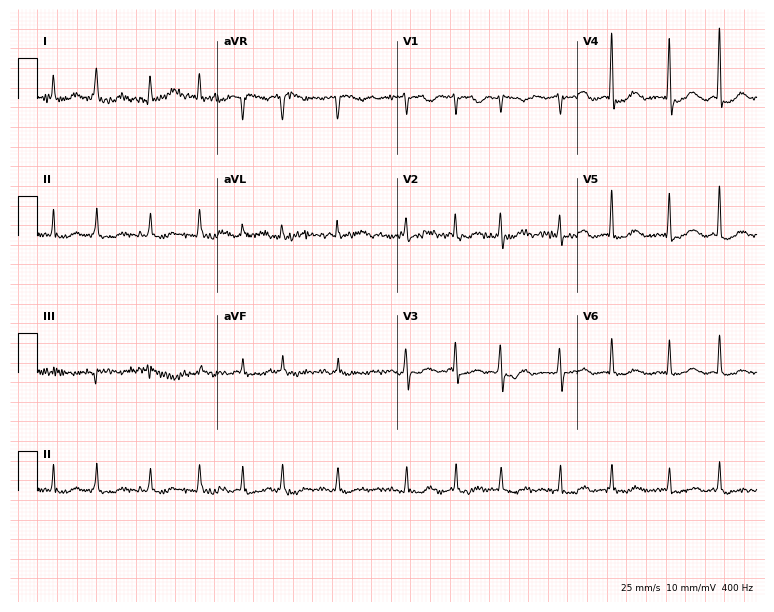
12-lead ECG from an 81-year-old female (7.3-second recording at 400 Hz). Shows atrial fibrillation.